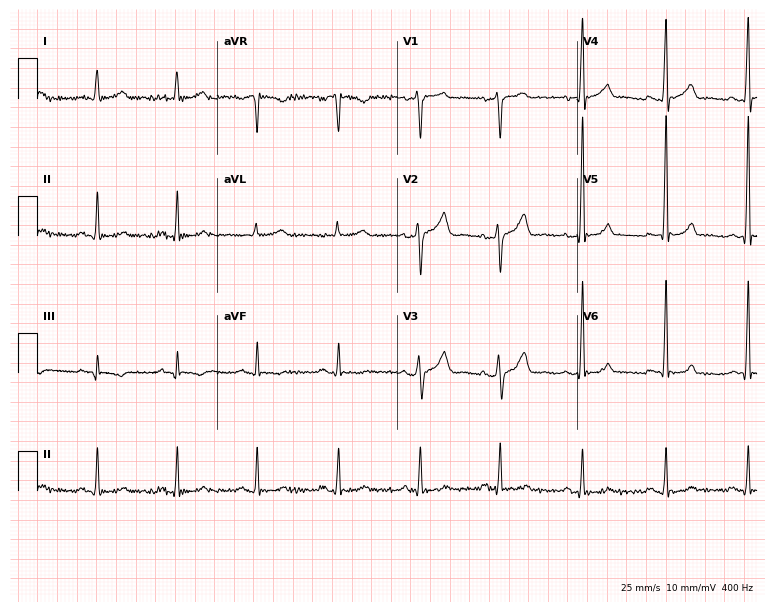
12-lead ECG from a 51-year-old male. Screened for six findings — first-degree AV block, right bundle branch block, left bundle branch block, sinus bradycardia, atrial fibrillation, sinus tachycardia — none is recorded. Only these six findings were labelled.